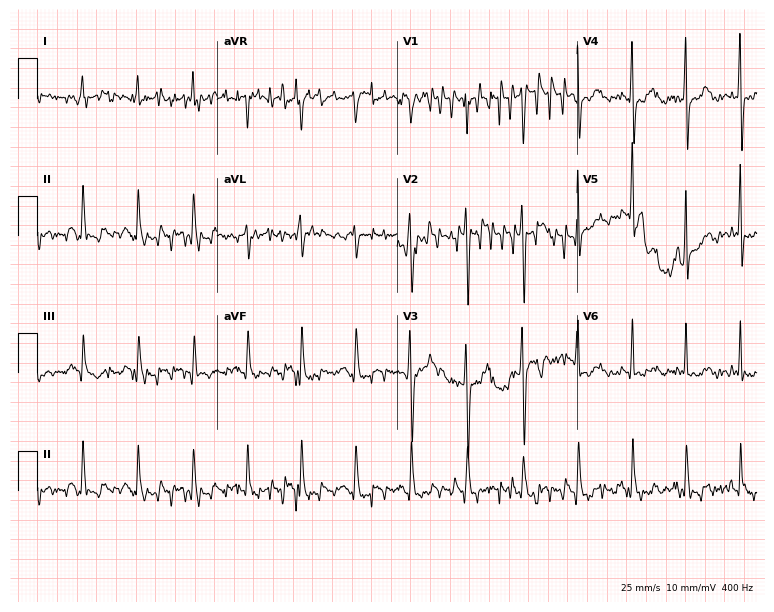
Standard 12-lead ECG recorded from a 45-year-old woman (7.3-second recording at 400 Hz). None of these six findings is recorded: first-degree AV block, right bundle branch block, left bundle branch block, sinus bradycardia, atrial fibrillation, sinus tachycardia.